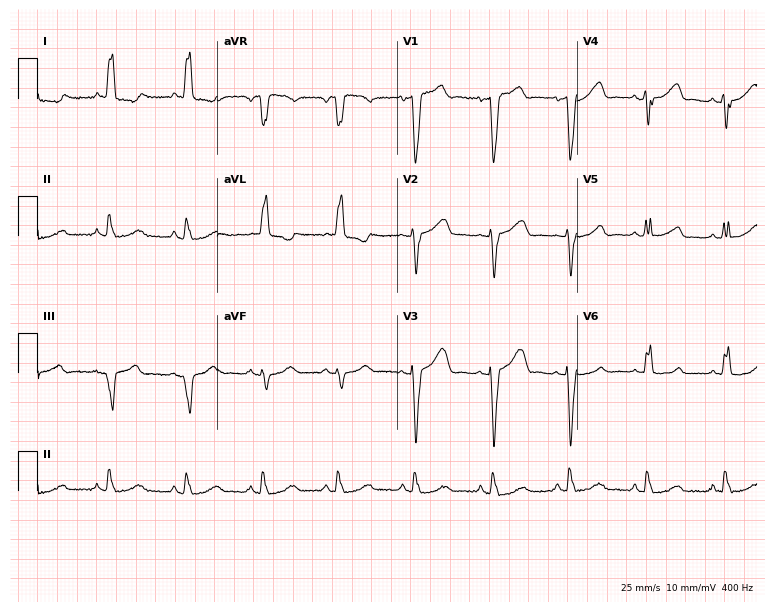
12-lead ECG from a 77-year-old female. No first-degree AV block, right bundle branch block, left bundle branch block, sinus bradycardia, atrial fibrillation or sinus tachycardia recorded for this tracing. Other findings, if any, are not listed.